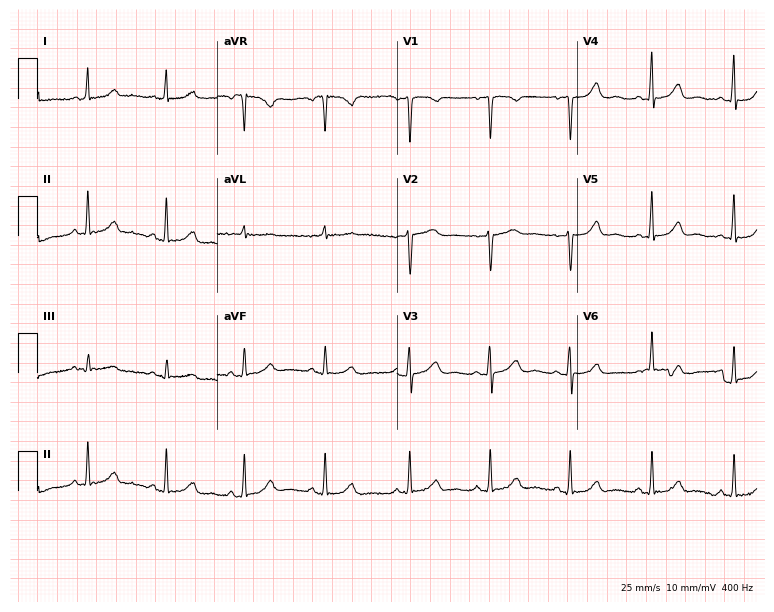
Electrocardiogram (7.3-second recording at 400 Hz), a female patient, 40 years old. Overall reading on record: normal ECG.